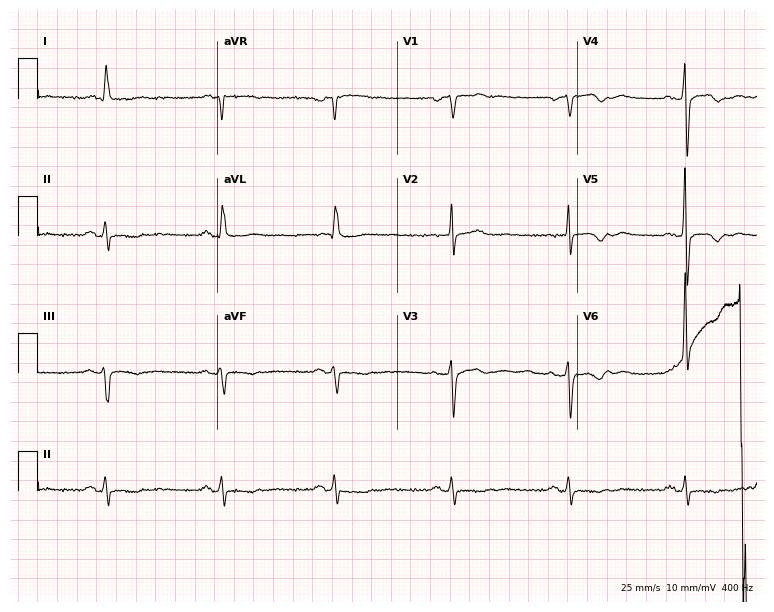
Resting 12-lead electrocardiogram (7.3-second recording at 400 Hz). Patient: a 75-year-old man. None of these six findings is recorded: first-degree AV block, right bundle branch block, left bundle branch block, sinus bradycardia, atrial fibrillation, sinus tachycardia. Other findings, if any, are not listed.